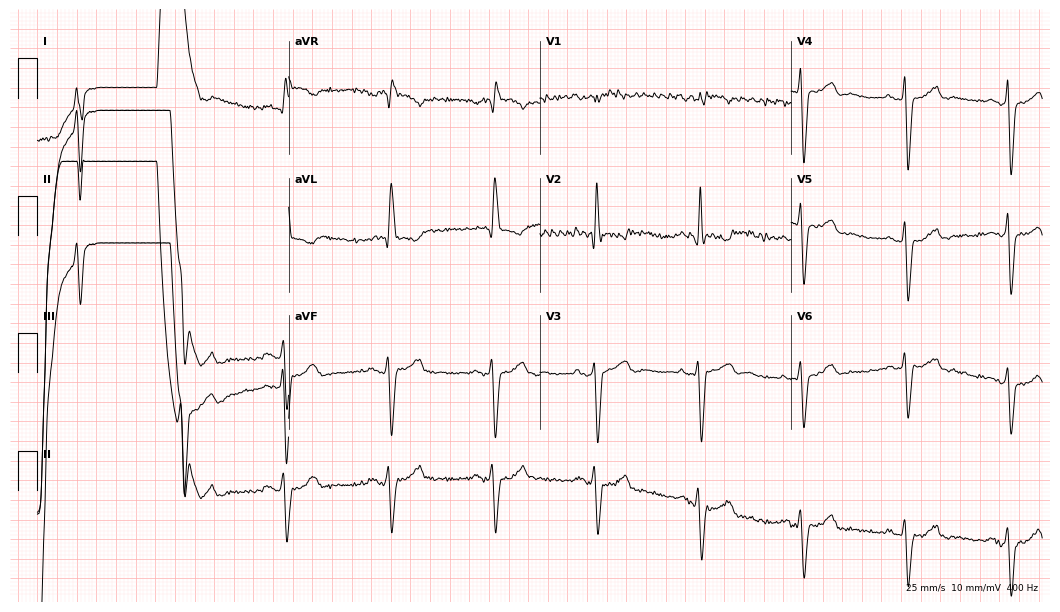
Standard 12-lead ECG recorded from an 80-year-old female patient. None of these six findings is recorded: first-degree AV block, right bundle branch block (RBBB), left bundle branch block (LBBB), sinus bradycardia, atrial fibrillation (AF), sinus tachycardia. Other findings, if any, are not listed.